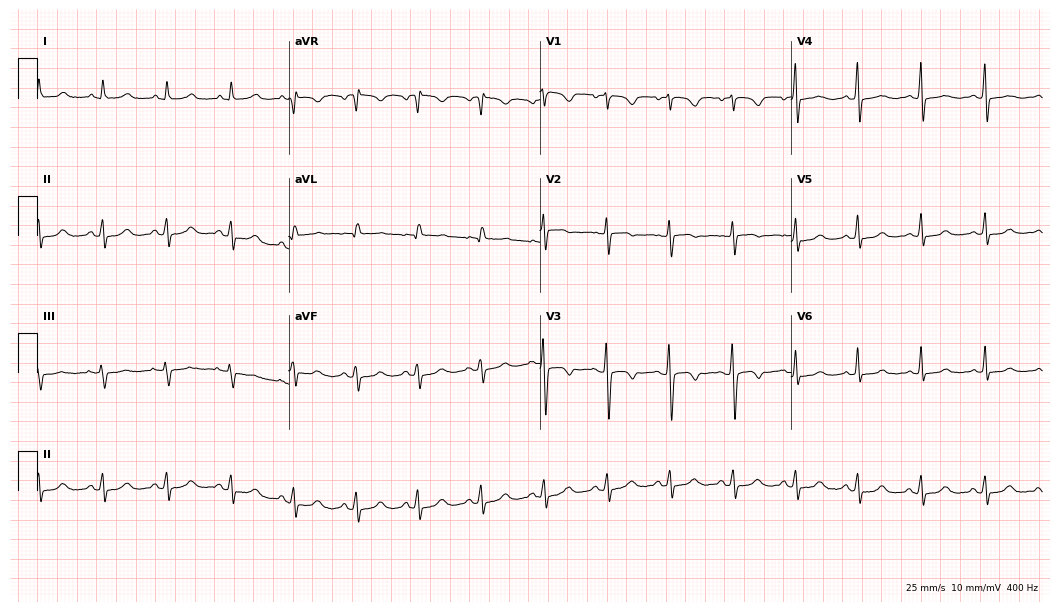
12-lead ECG (10.2-second recording at 400 Hz) from a woman, 57 years old. Screened for six findings — first-degree AV block, right bundle branch block, left bundle branch block, sinus bradycardia, atrial fibrillation, sinus tachycardia — none is recorded.